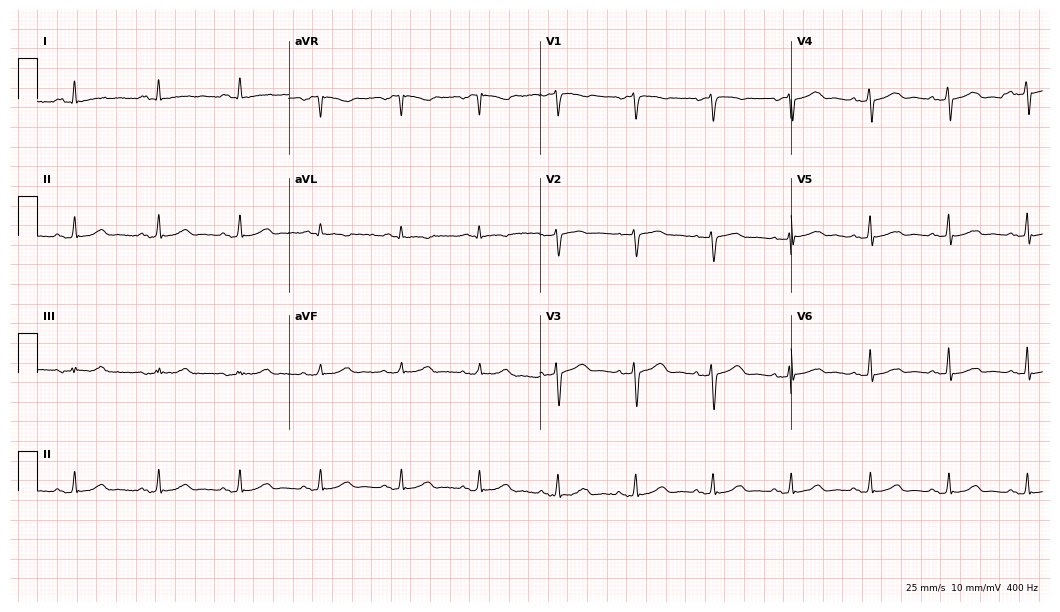
12-lead ECG from a female, 54 years old (10.2-second recording at 400 Hz). Recorded interpretation: within normal limits.